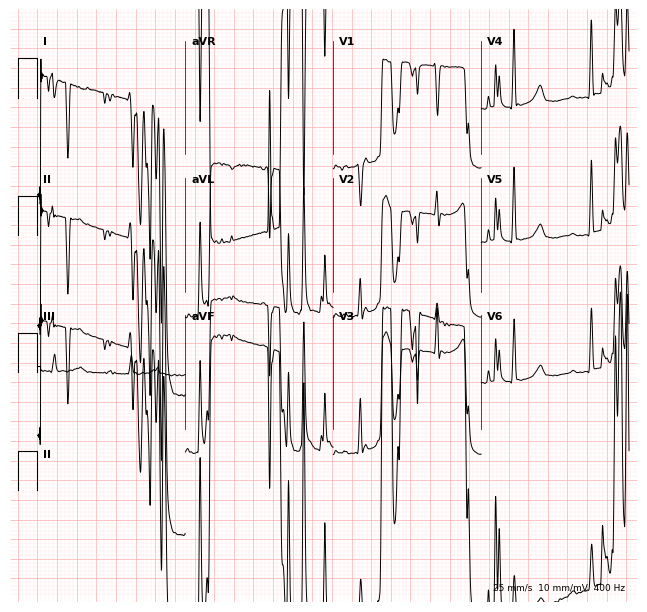
Electrocardiogram (6-second recording at 400 Hz), a woman, 83 years old. Of the six screened findings (first-degree AV block, right bundle branch block, left bundle branch block, sinus bradycardia, atrial fibrillation, sinus tachycardia), none is recorded.